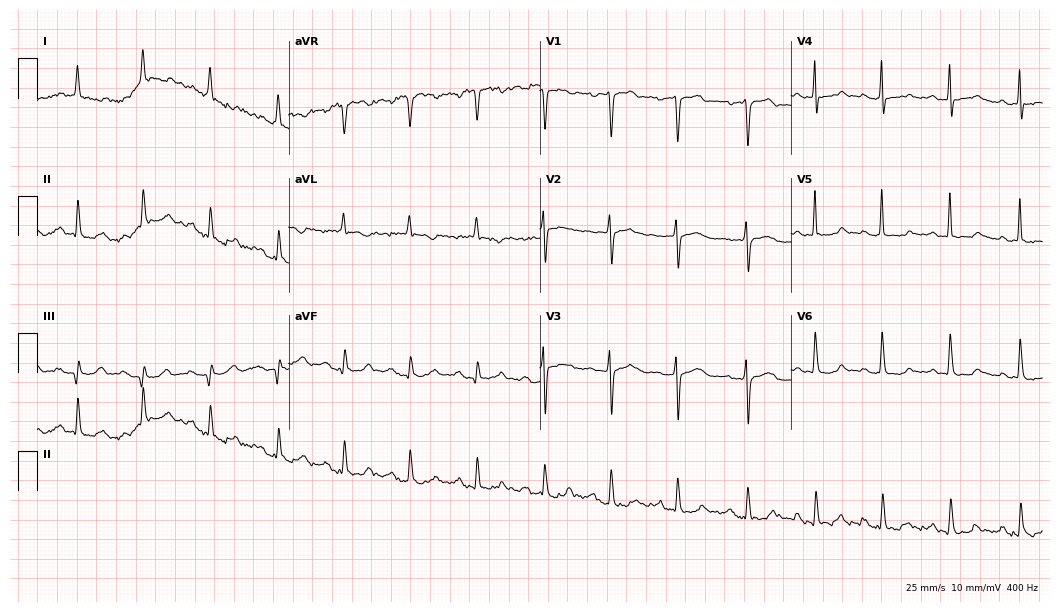
ECG — a female patient, 82 years old. Screened for six findings — first-degree AV block, right bundle branch block, left bundle branch block, sinus bradycardia, atrial fibrillation, sinus tachycardia — none is recorded.